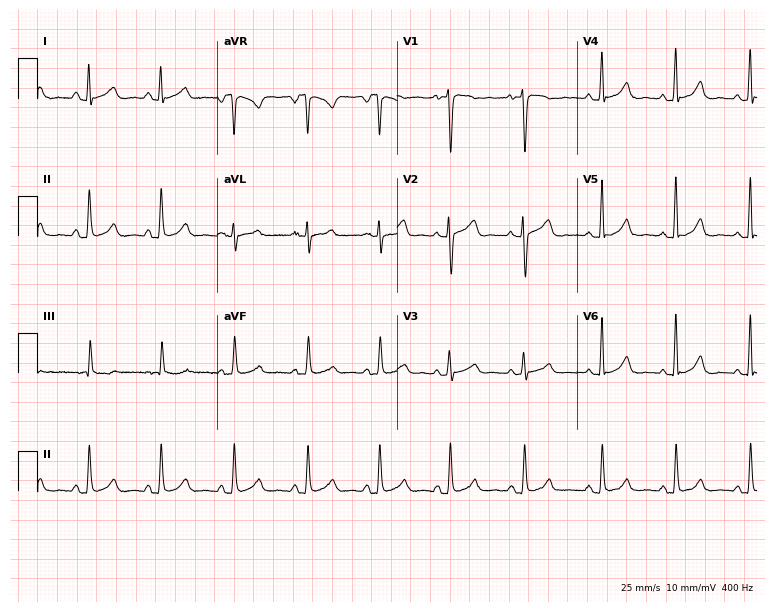
Electrocardiogram, a 22-year-old female. Overall reading on record: normal ECG.